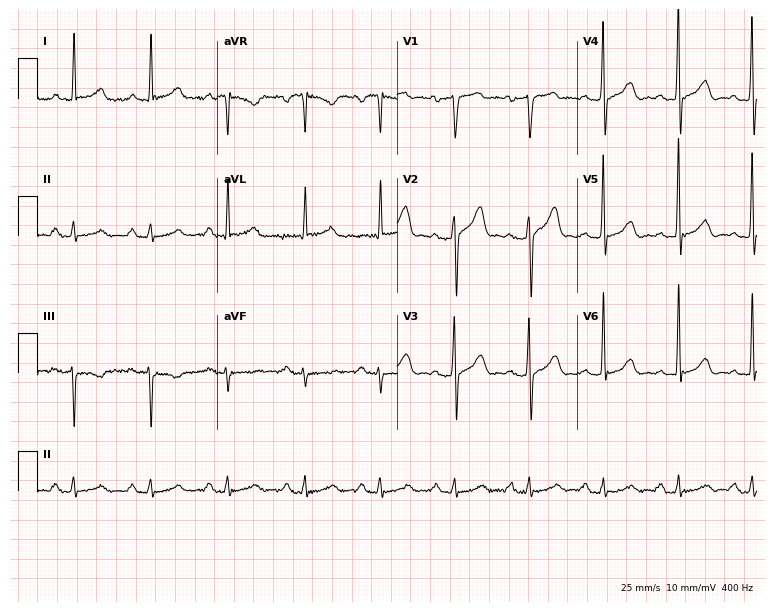
Standard 12-lead ECG recorded from a man, 64 years old (7.3-second recording at 400 Hz). Read as a normal ECG.